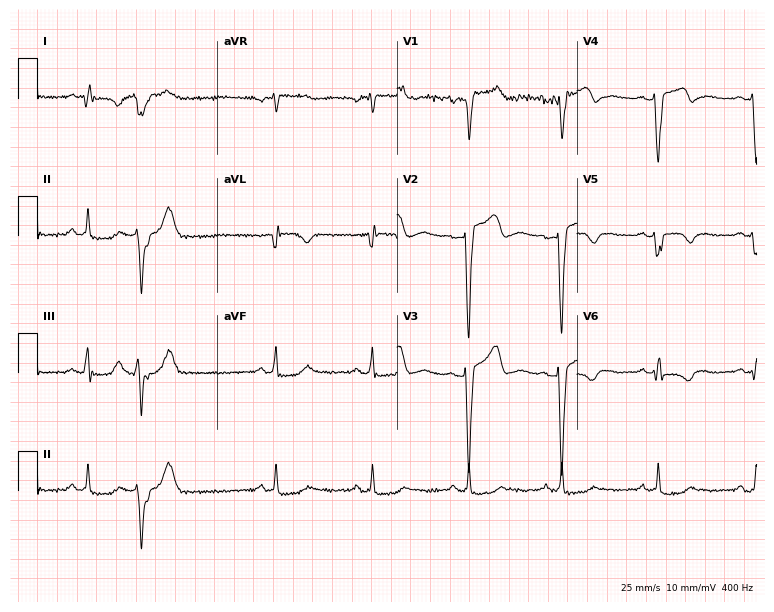
12-lead ECG from a male, 68 years old. Screened for six findings — first-degree AV block, right bundle branch block, left bundle branch block, sinus bradycardia, atrial fibrillation, sinus tachycardia — none is recorded.